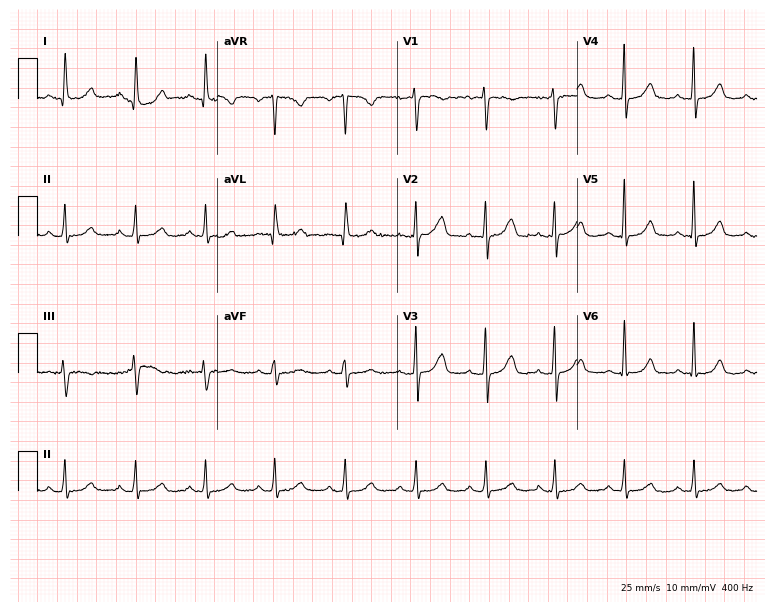
Electrocardiogram (7.3-second recording at 400 Hz), a 51-year-old female. Of the six screened findings (first-degree AV block, right bundle branch block, left bundle branch block, sinus bradycardia, atrial fibrillation, sinus tachycardia), none is recorded. Other findings, if any, are not listed.